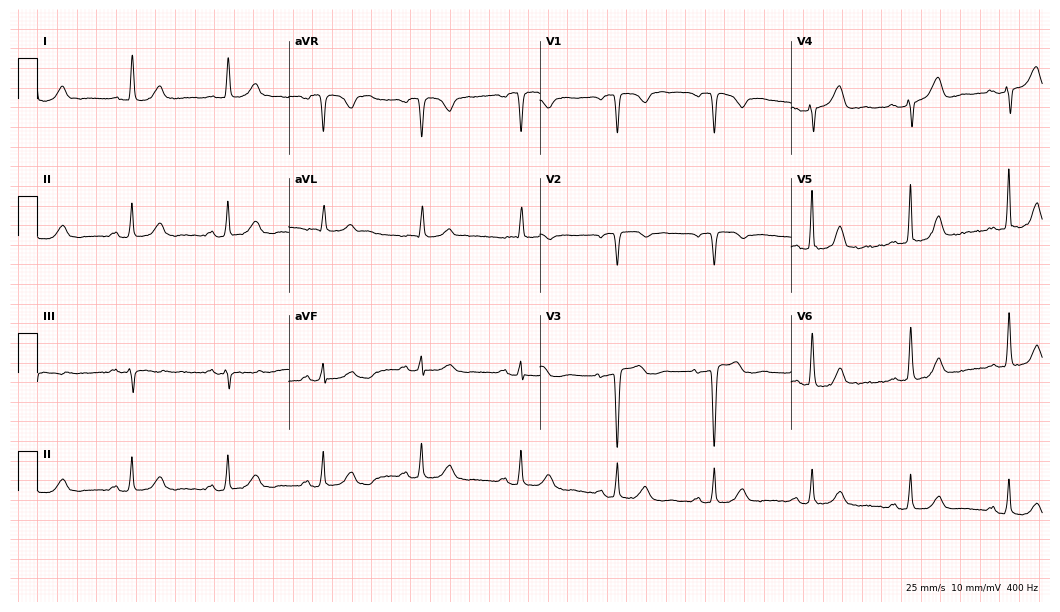
ECG (10.2-second recording at 400 Hz) — a 61-year-old female patient. Screened for six findings — first-degree AV block, right bundle branch block, left bundle branch block, sinus bradycardia, atrial fibrillation, sinus tachycardia — none is recorded.